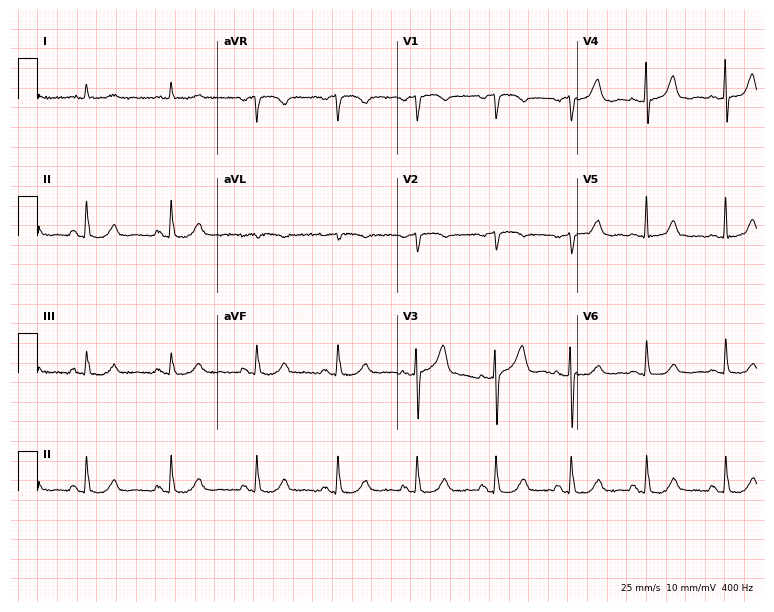
12-lead ECG (7.3-second recording at 400 Hz) from a female, 59 years old. Labelled as a normal ECG.